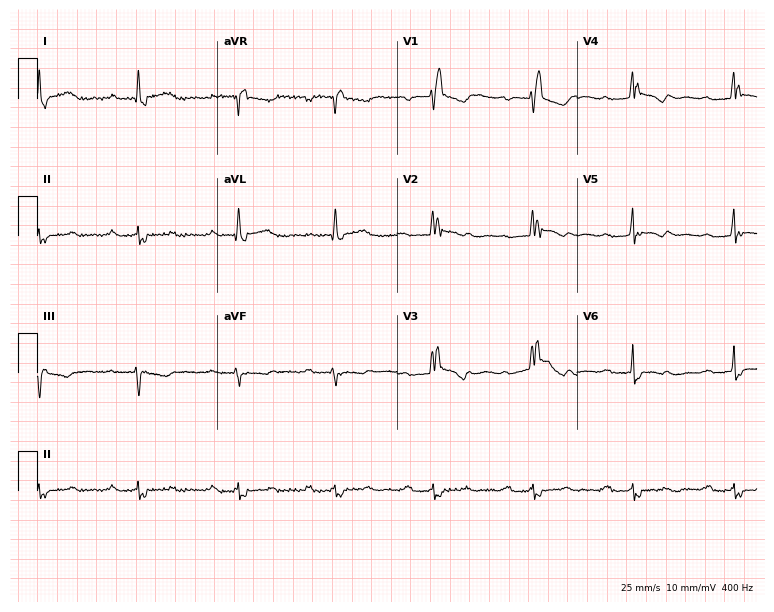
12-lead ECG from a 58-year-old man. Shows first-degree AV block, right bundle branch block.